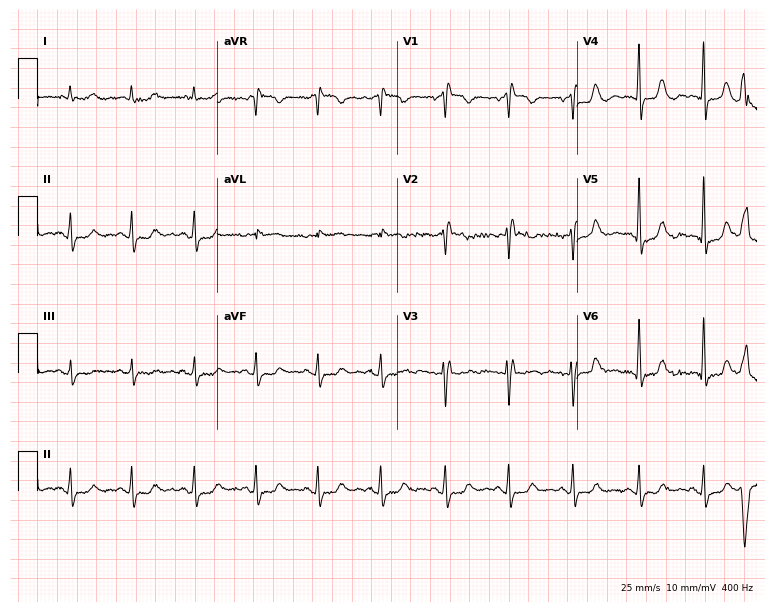
12-lead ECG (7.3-second recording at 400 Hz) from a 75-year-old female. Screened for six findings — first-degree AV block, right bundle branch block, left bundle branch block, sinus bradycardia, atrial fibrillation, sinus tachycardia — none is recorded. Other findings, if any, are not listed.